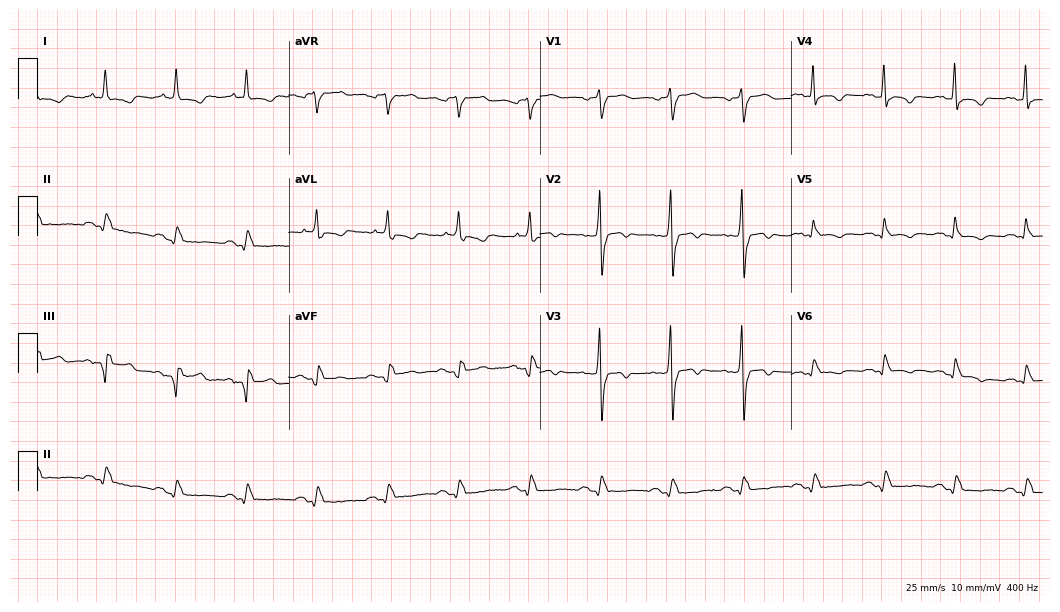
12-lead ECG from a male patient, 68 years old. Screened for six findings — first-degree AV block, right bundle branch block, left bundle branch block, sinus bradycardia, atrial fibrillation, sinus tachycardia — none is recorded.